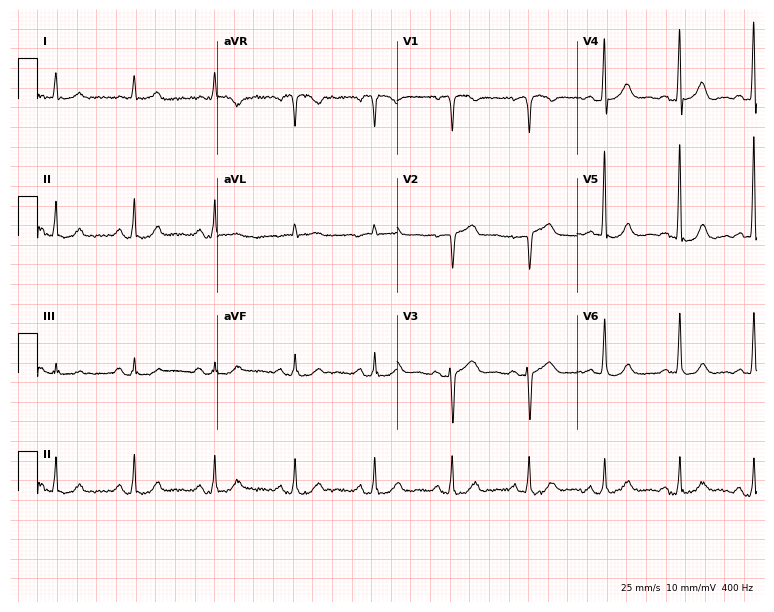
Standard 12-lead ECG recorded from a woman, 76 years old (7.3-second recording at 400 Hz). None of these six findings is recorded: first-degree AV block, right bundle branch block, left bundle branch block, sinus bradycardia, atrial fibrillation, sinus tachycardia. Other findings, if any, are not listed.